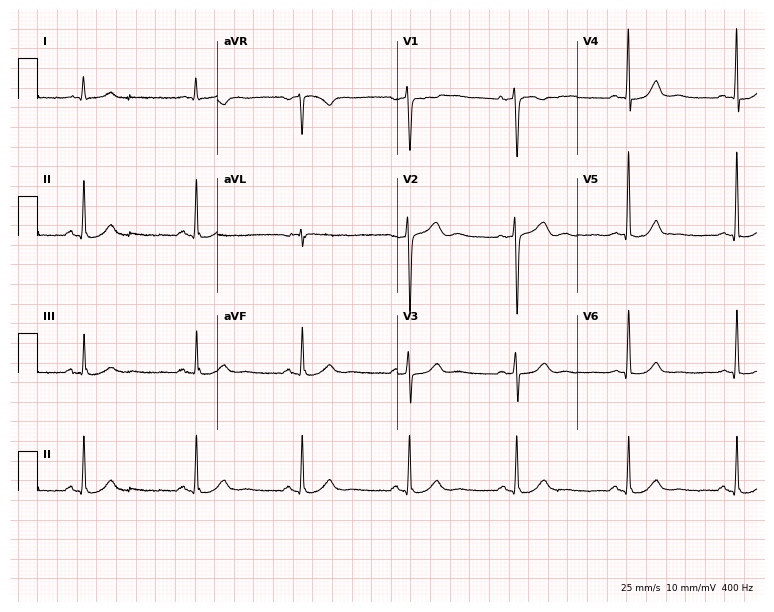
Resting 12-lead electrocardiogram (7.3-second recording at 400 Hz). Patient: a 79-year-old male. Read as a normal ECG.